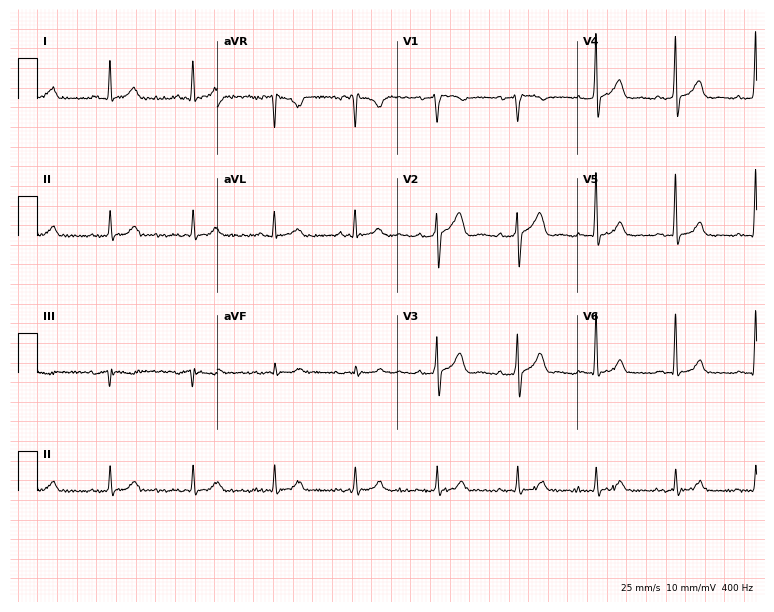
12-lead ECG (7.3-second recording at 400 Hz) from a 63-year-old male patient. Labelled as a normal ECG.